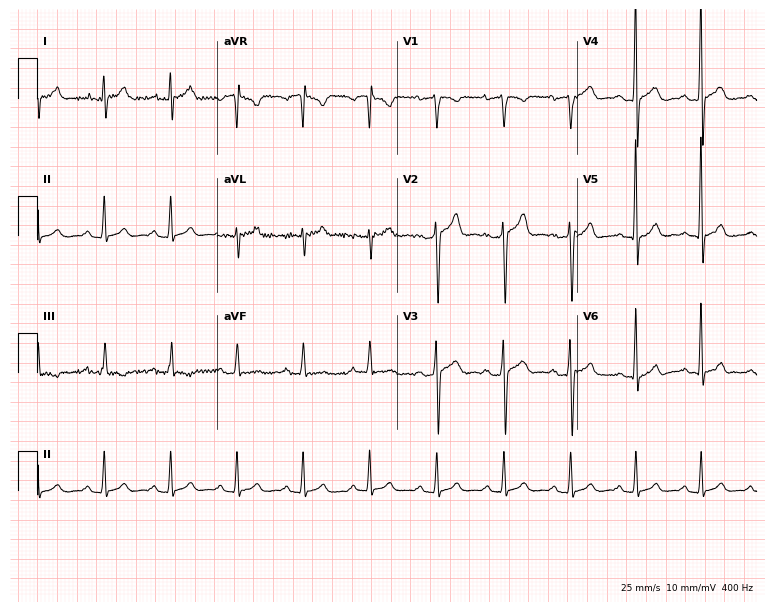
Resting 12-lead electrocardiogram (7.3-second recording at 400 Hz). Patient: a 30-year-old female. None of these six findings is recorded: first-degree AV block, right bundle branch block, left bundle branch block, sinus bradycardia, atrial fibrillation, sinus tachycardia. Other findings, if any, are not listed.